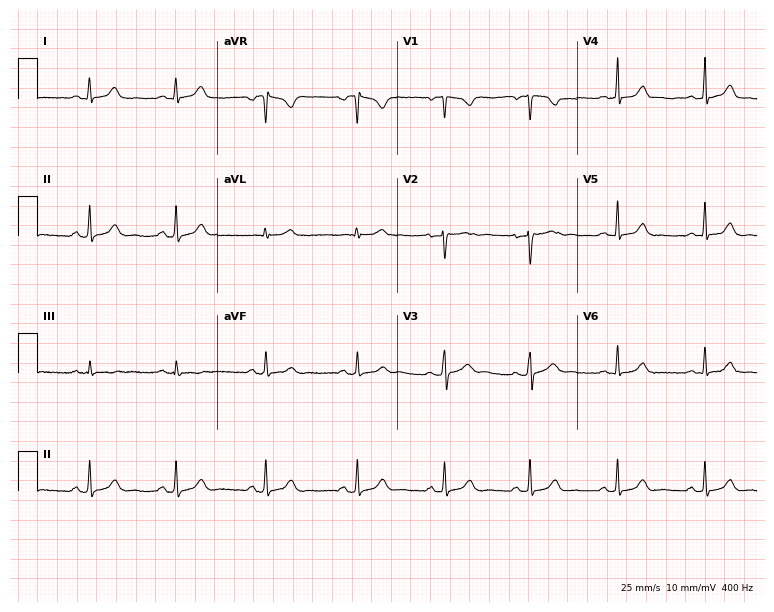
Standard 12-lead ECG recorded from a 28-year-old woman. None of these six findings is recorded: first-degree AV block, right bundle branch block, left bundle branch block, sinus bradycardia, atrial fibrillation, sinus tachycardia. Only these six findings were labelled.